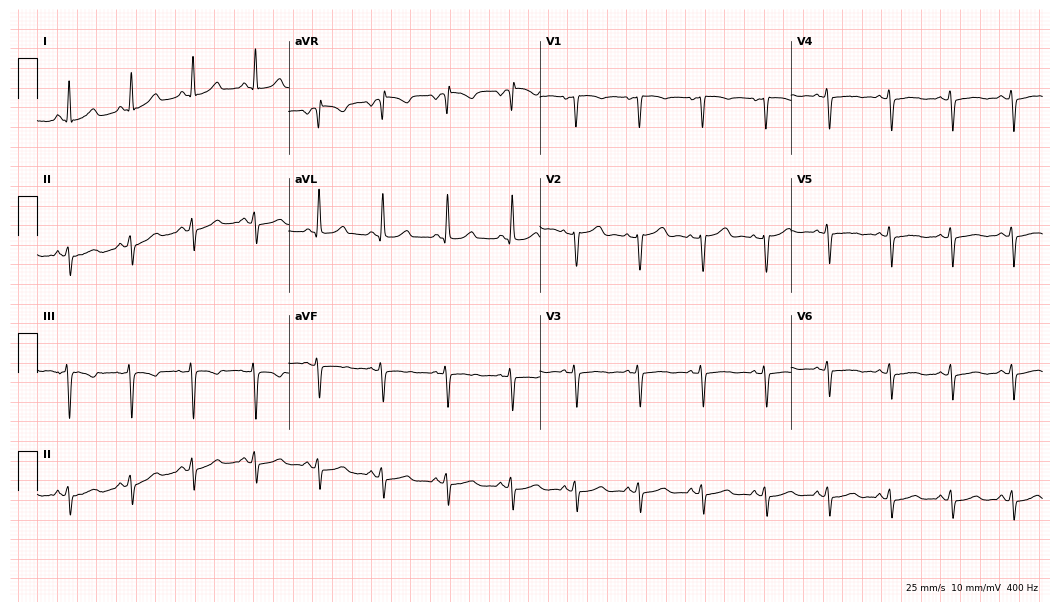
Resting 12-lead electrocardiogram. Patient: a female, 41 years old. None of these six findings is recorded: first-degree AV block, right bundle branch block, left bundle branch block, sinus bradycardia, atrial fibrillation, sinus tachycardia. Findings outside these six are not listed.